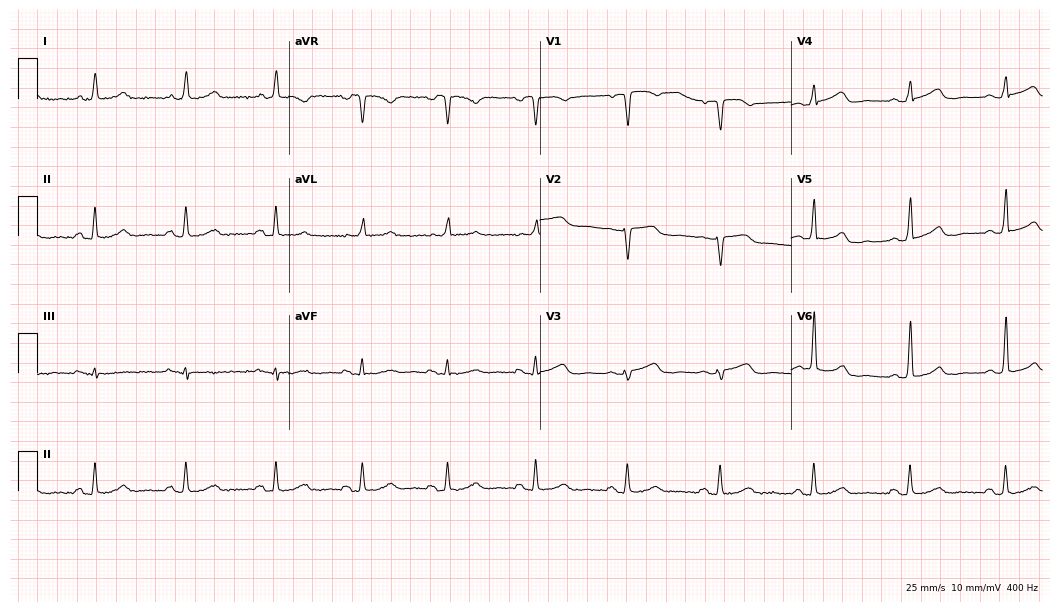
12-lead ECG from a female, 77 years old (10.2-second recording at 400 Hz). Recorded interpretation: within normal limits.